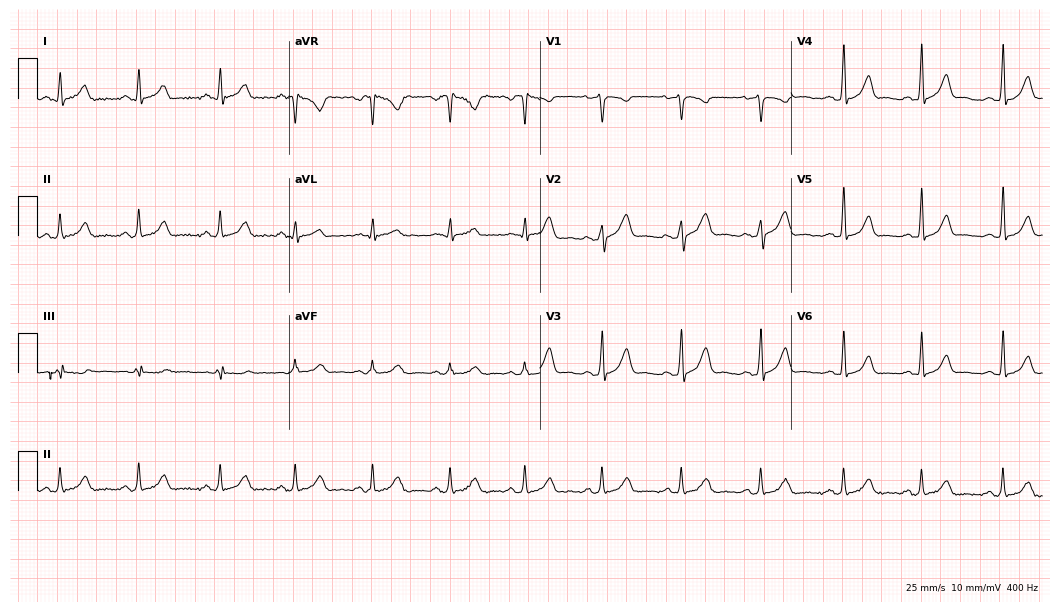
Resting 12-lead electrocardiogram. Patient: a female, 29 years old. Read as a normal ECG.